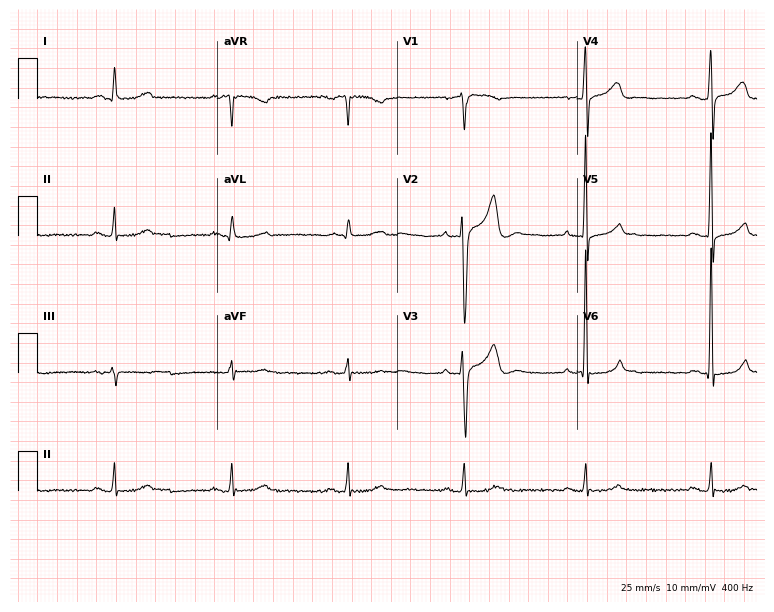
12-lead ECG from a 53-year-old male patient. Screened for six findings — first-degree AV block, right bundle branch block, left bundle branch block, sinus bradycardia, atrial fibrillation, sinus tachycardia — none is recorded. Only these six findings were labelled.